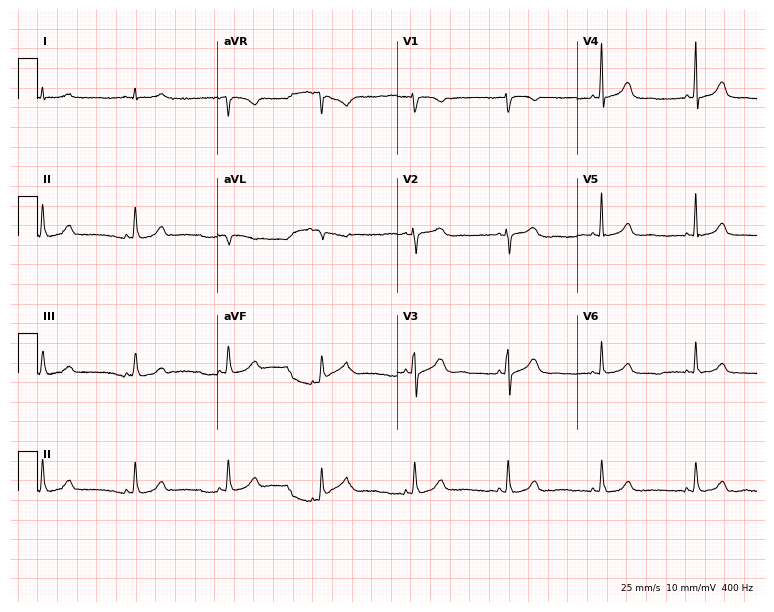
12-lead ECG from a 65-year-old female (7.3-second recording at 400 Hz). No first-degree AV block, right bundle branch block, left bundle branch block, sinus bradycardia, atrial fibrillation or sinus tachycardia recorded for this tracing.